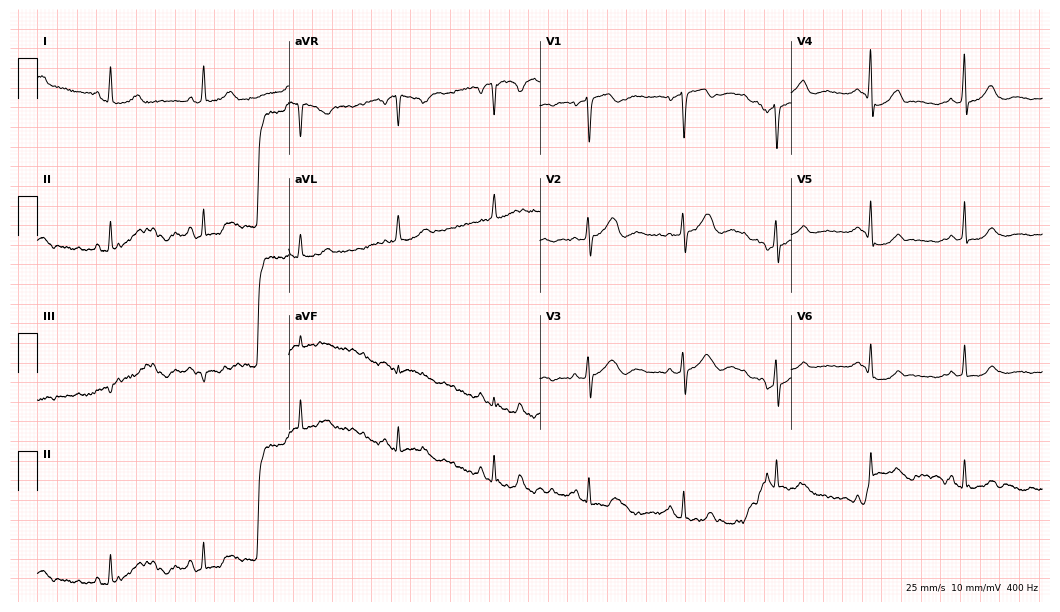
12-lead ECG from a 63-year-old woman. Labelled as a normal ECG.